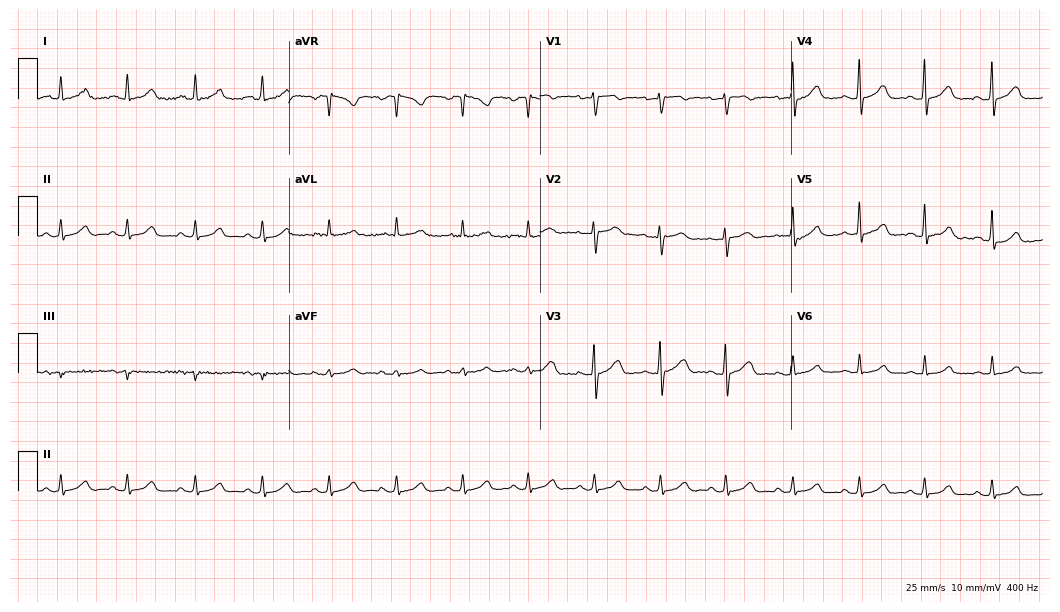
Electrocardiogram, a woman, 47 years old. Overall reading on record: normal ECG.